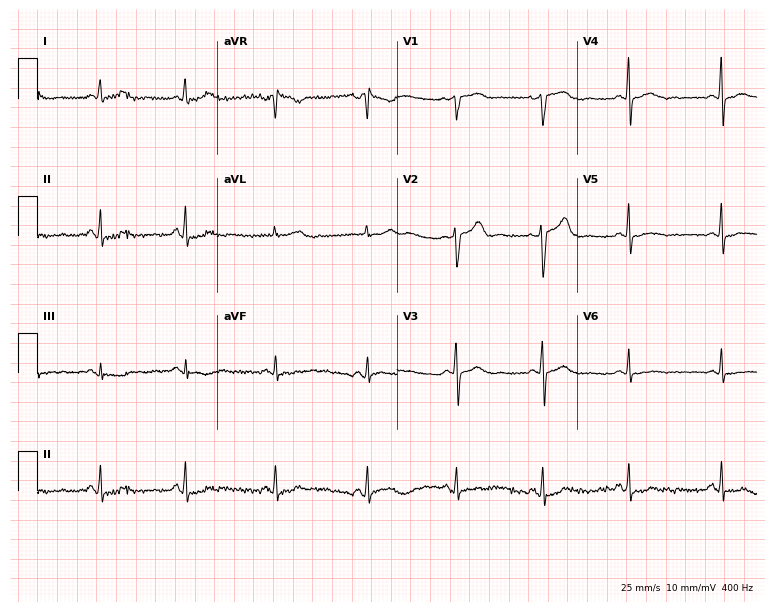
Resting 12-lead electrocardiogram. Patient: a female, 41 years old. None of these six findings is recorded: first-degree AV block, right bundle branch block, left bundle branch block, sinus bradycardia, atrial fibrillation, sinus tachycardia. Other findings, if any, are not listed.